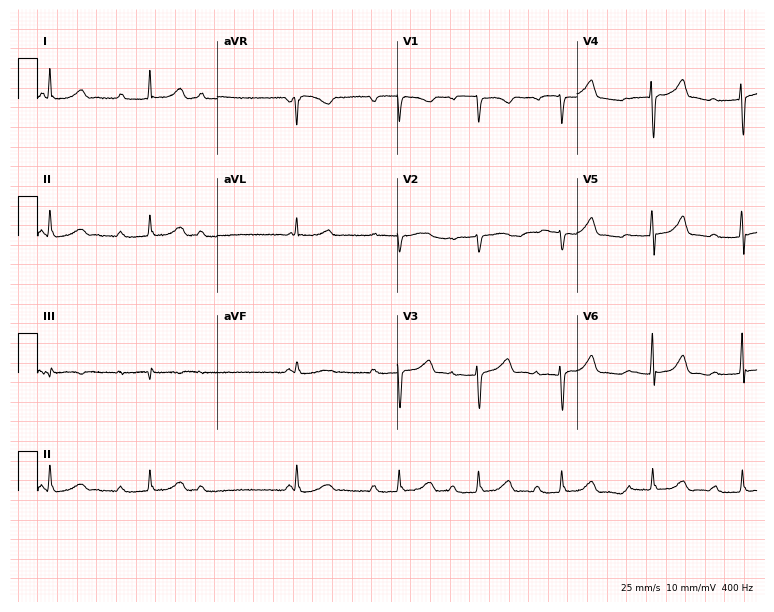
12-lead ECG from a 51-year-old woman. Shows first-degree AV block.